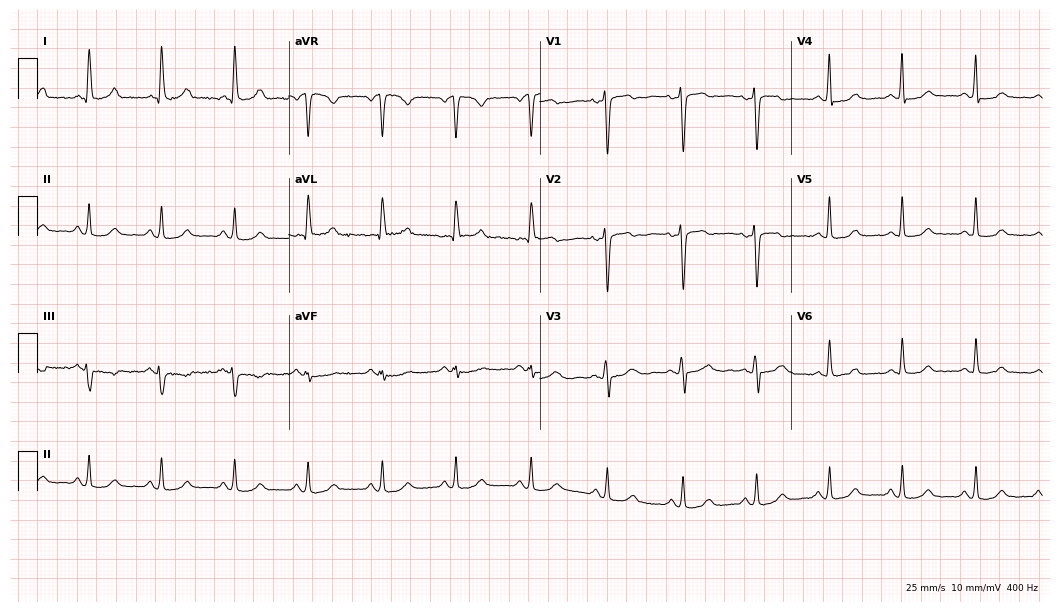
Standard 12-lead ECG recorded from a female patient, 50 years old. None of these six findings is recorded: first-degree AV block, right bundle branch block (RBBB), left bundle branch block (LBBB), sinus bradycardia, atrial fibrillation (AF), sinus tachycardia.